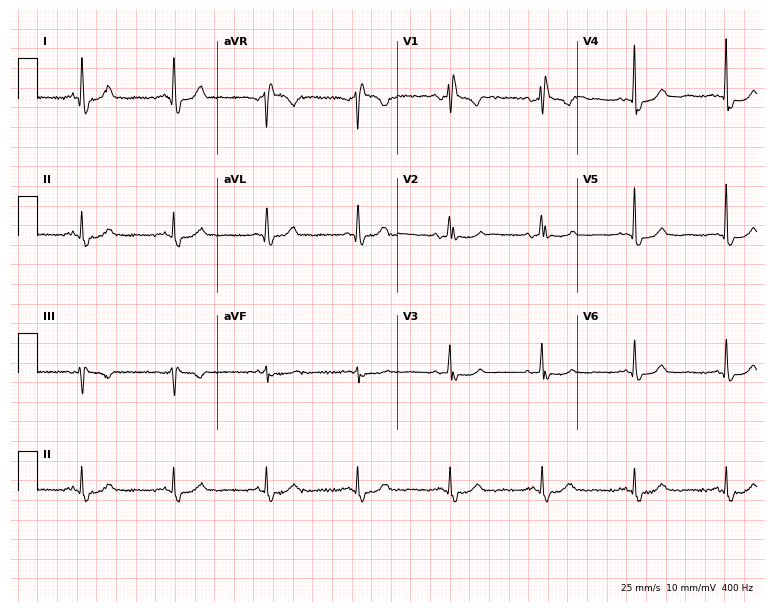
12-lead ECG from a female, 78 years old. Screened for six findings — first-degree AV block, right bundle branch block, left bundle branch block, sinus bradycardia, atrial fibrillation, sinus tachycardia — none is recorded. Other findings, if any, are not listed.